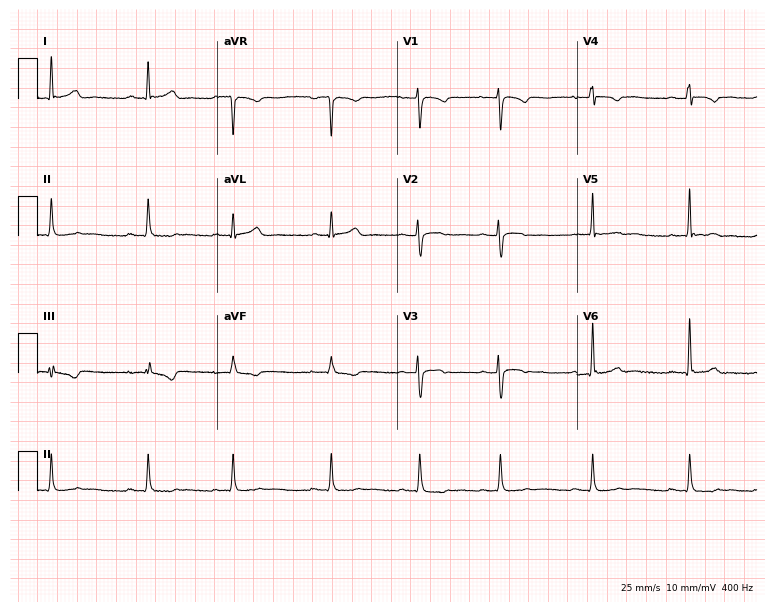
12-lead ECG from a 20-year-old female. Screened for six findings — first-degree AV block, right bundle branch block, left bundle branch block, sinus bradycardia, atrial fibrillation, sinus tachycardia — none is recorded.